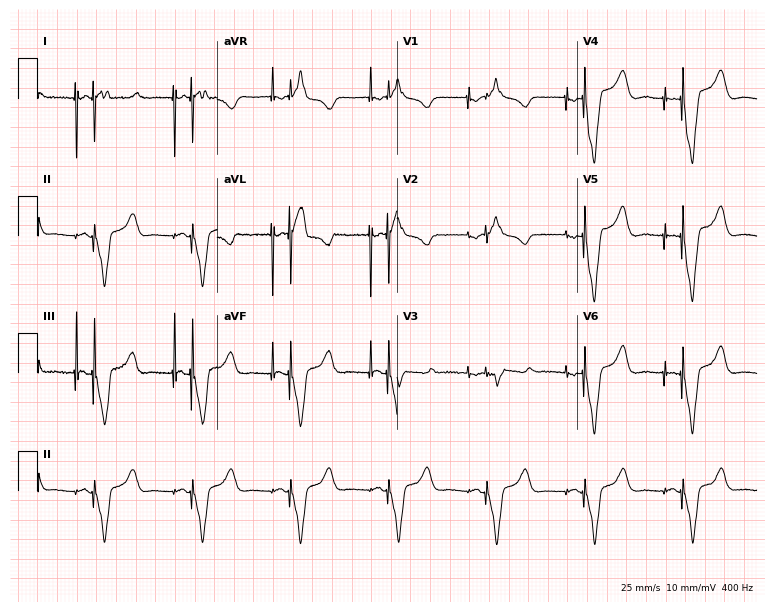
ECG — a woman, 43 years old. Screened for six findings — first-degree AV block, right bundle branch block (RBBB), left bundle branch block (LBBB), sinus bradycardia, atrial fibrillation (AF), sinus tachycardia — none is recorded. Other findings, if any, are not listed.